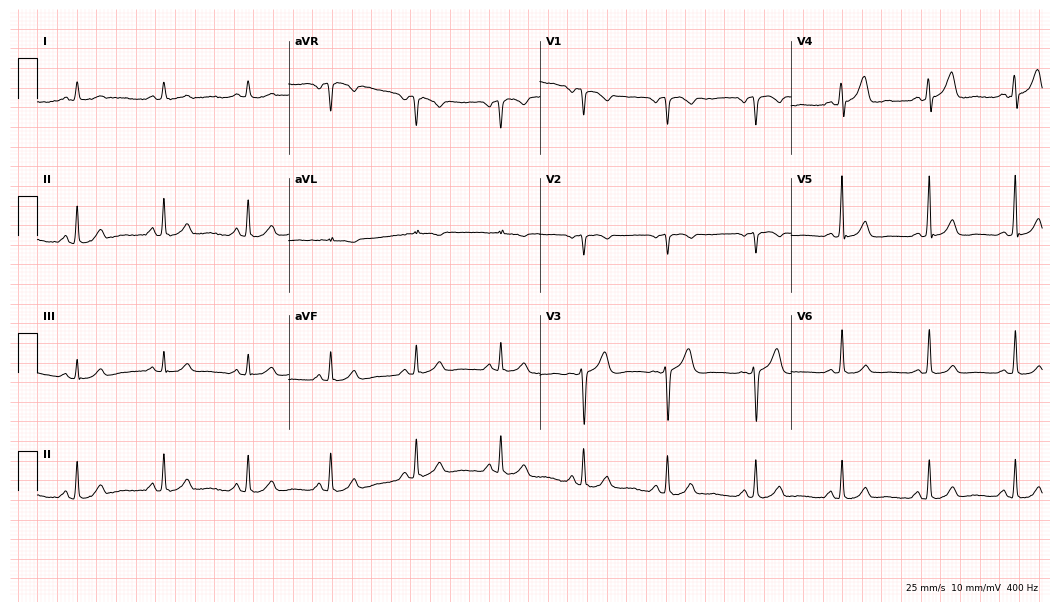
Standard 12-lead ECG recorded from a 57-year-old male (10.2-second recording at 400 Hz). None of these six findings is recorded: first-degree AV block, right bundle branch block (RBBB), left bundle branch block (LBBB), sinus bradycardia, atrial fibrillation (AF), sinus tachycardia. Other findings, if any, are not listed.